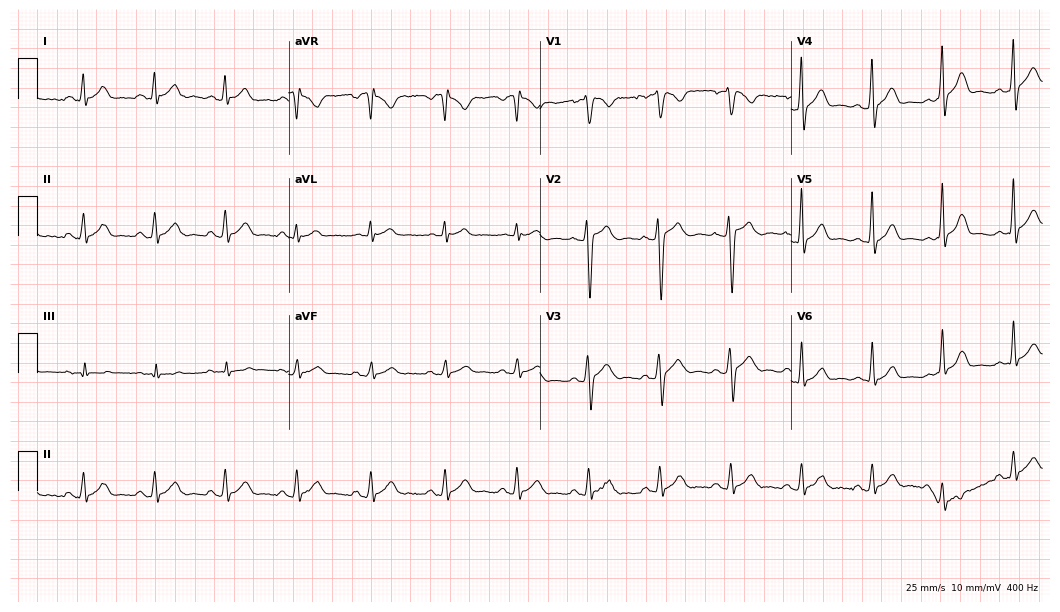
ECG (10.2-second recording at 400 Hz) — a 21-year-old male patient. Labelled as a normal ECG.